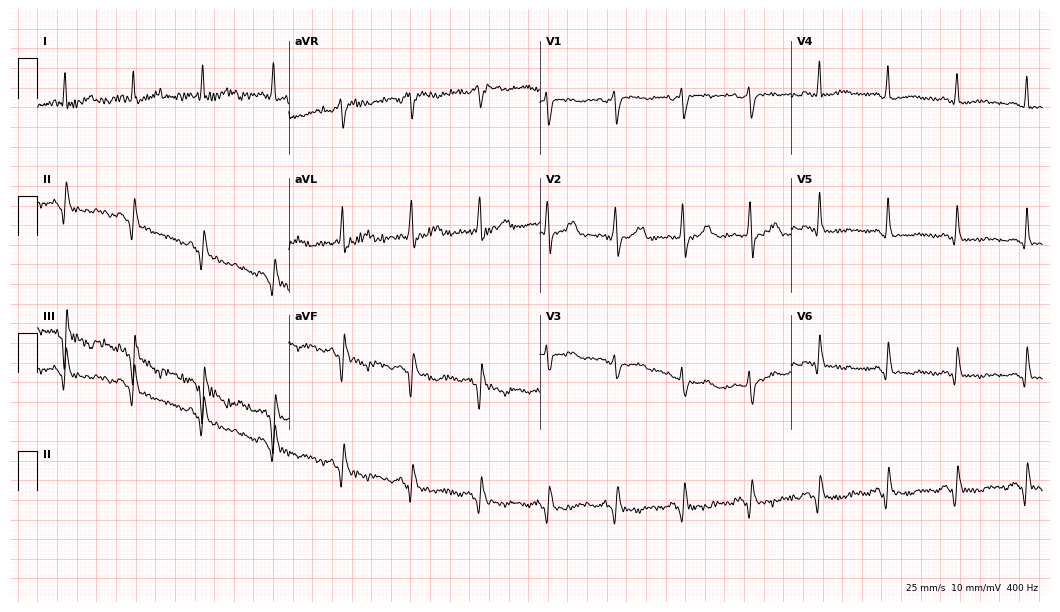
ECG — a 77-year-old woman. Screened for six findings — first-degree AV block, right bundle branch block (RBBB), left bundle branch block (LBBB), sinus bradycardia, atrial fibrillation (AF), sinus tachycardia — none is recorded.